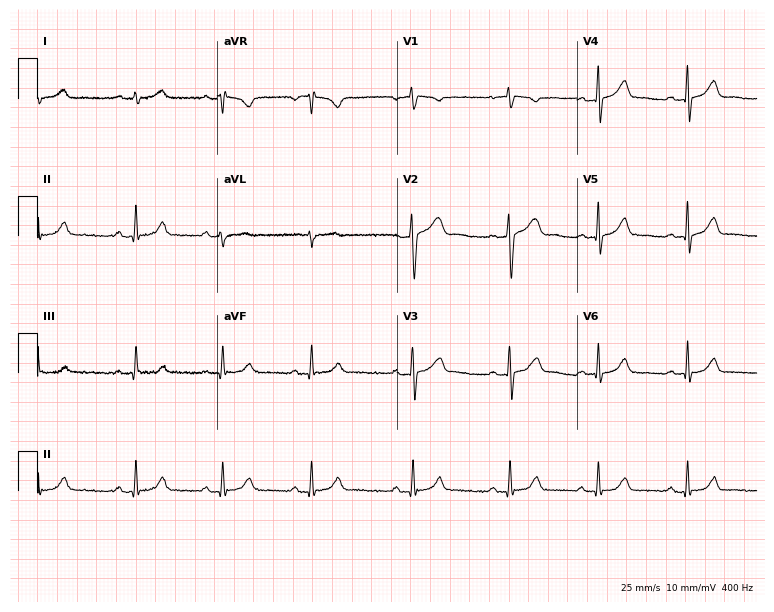
Resting 12-lead electrocardiogram (7.3-second recording at 400 Hz). Patient: a 26-year-old woman. None of these six findings is recorded: first-degree AV block, right bundle branch block, left bundle branch block, sinus bradycardia, atrial fibrillation, sinus tachycardia.